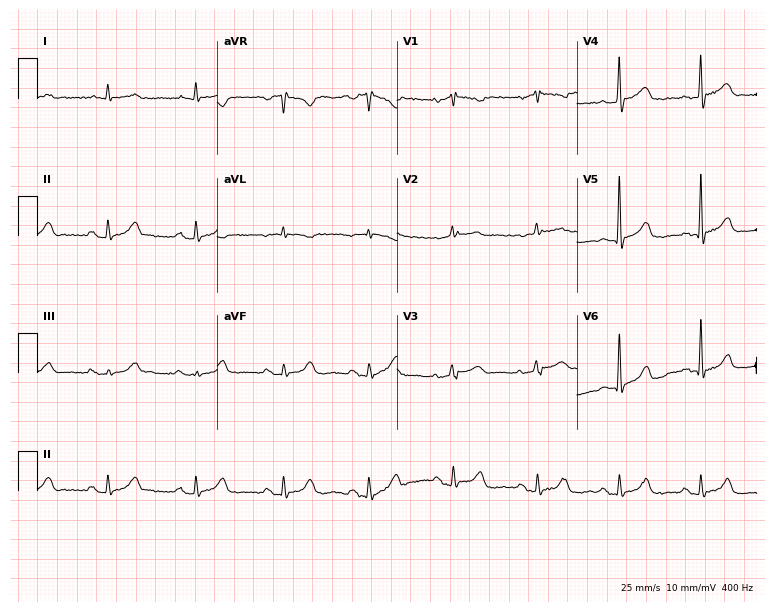
12-lead ECG from a male patient, 80 years old (7.3-second recording at 400 Hz). No first-degree AV block, right bundle branch block, left bundle branch block, sinus bradycardia, atrial fibrillation or sinus tachycardia recorded for this tracing. Only these six findings were labelled.